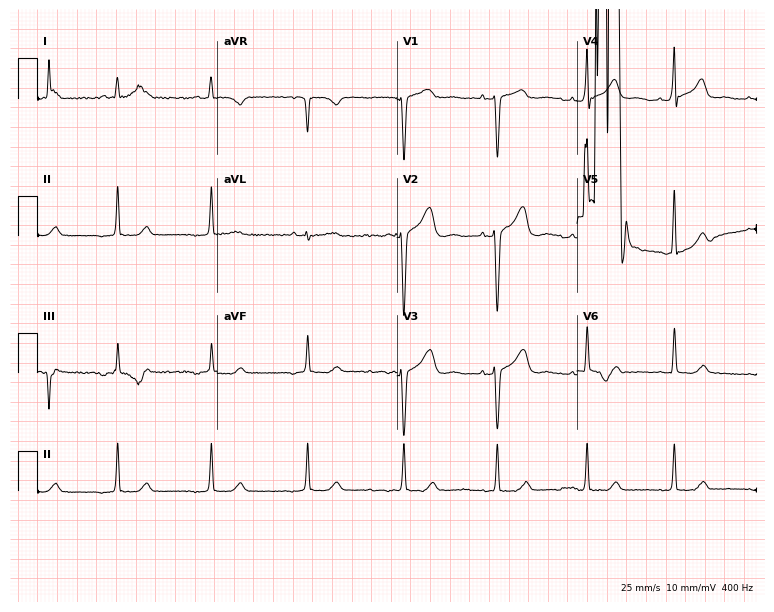
12-lead ECG (7.3-second recording at 400 Hz) from a 51-year-old female. Screened for six findings — first-degree AV block, right bundle branch block, left bundle branch block, sinus bradycardia, atrial fibrillation, sinus tachycardia — none is recorded.